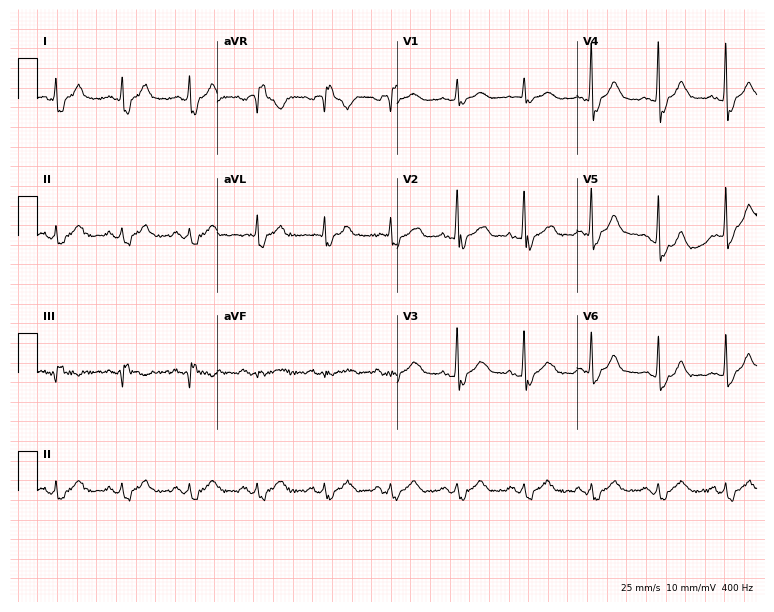
Electrocardiogram (7.3-second recording at 400 Hz), a female patient, 39 years old. Of the six screened findings (first-degree AV block, right bundle branch block, left bundle branch block, sinus bradycardia, atrial fibrillation, sinus tachycardia), none is recorded.